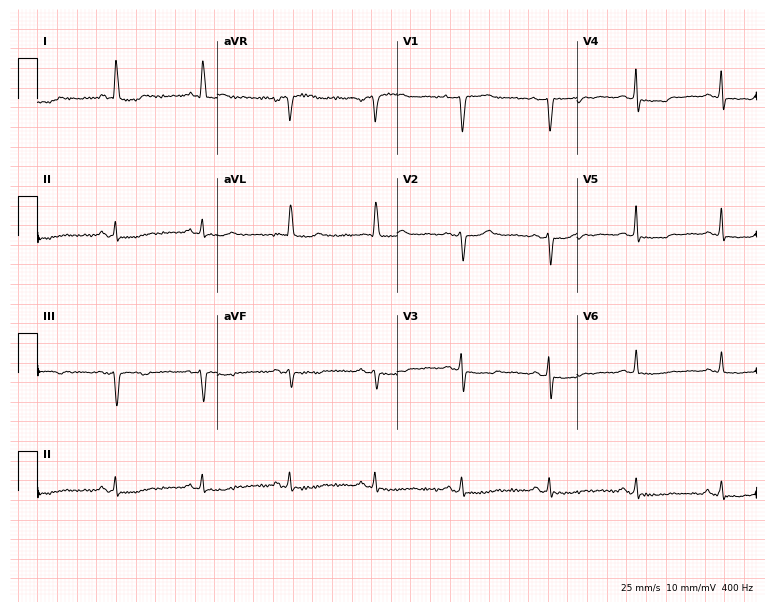
12-lead ECG from a 56-year-old female. Screened for six findings — first-degree AV block, right bundle branch block, left bundle branch block, sinus bradycardia, atrial fibrillation, sinus tachycardia — none is recorded. Only these six findings were labelled.